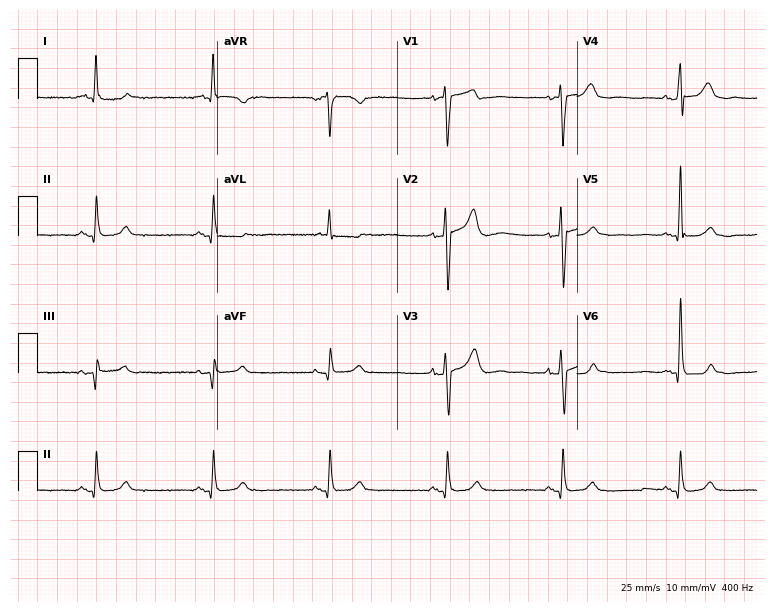
12-lead ECG (7.3-second recording at 400 Hz) from a male patient, 49 years old. Screened for six findings — first-degree AV block, right bundle branch block (RBBB), left bundle branch block (LBBB), sinus bradycardia, atrial fibrillation (AF), sinus tachycardia — none is recorded.